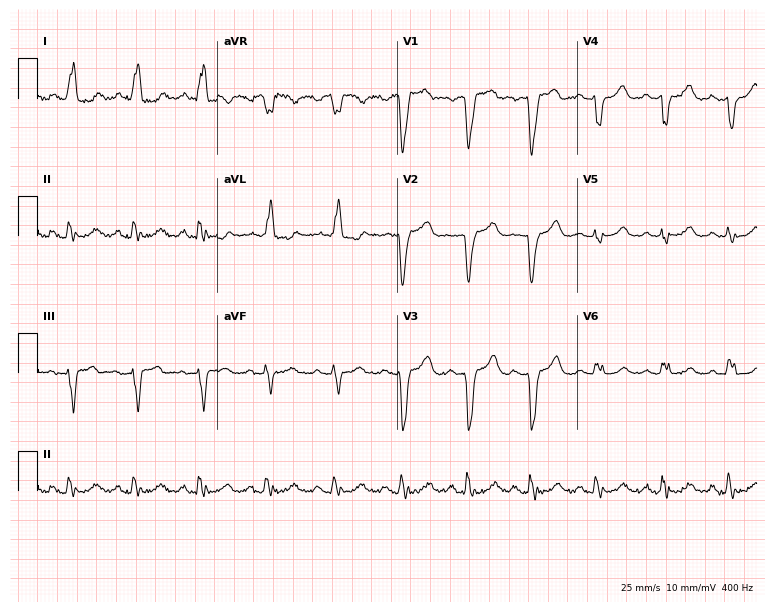
Resting 12-lead electrocardiogram (7.3-second recording at 400 Hz). Patient: a 53-year-old woman. None of these six findings is recorded: first-degree AV block, right bundle branch block (RBBB), left bundle branch block (LBBB), sinus bradycardia, atrial fibrillation (AF), sinus tachycardia.